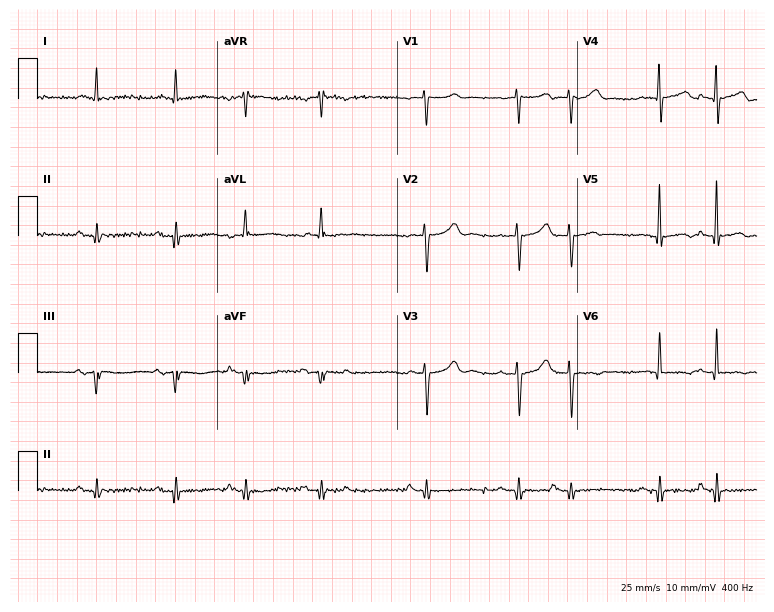
Standard 12-lead ECG recorded from a 77-year-old man. None of these six findings is recorded: first-degree AV block, right bundle branch block (RBBB), left bundle branch block (LBBB), sinus bradycardia, atrial fibrillation (AF), sinus tachycardia.